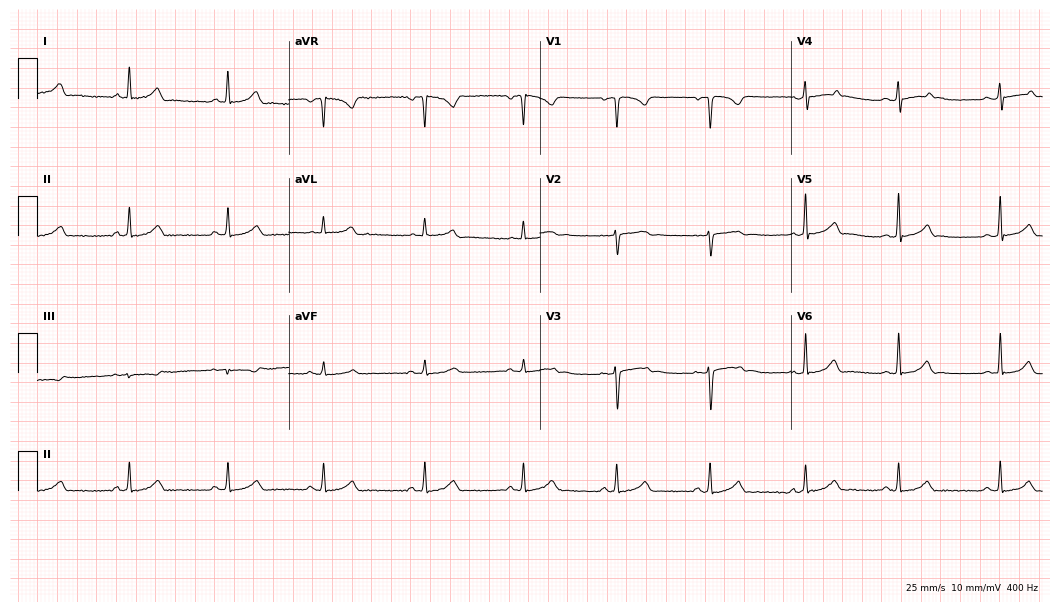
12-lead ECG from a female patient, 34 years old. Labelled as a normal ECG.